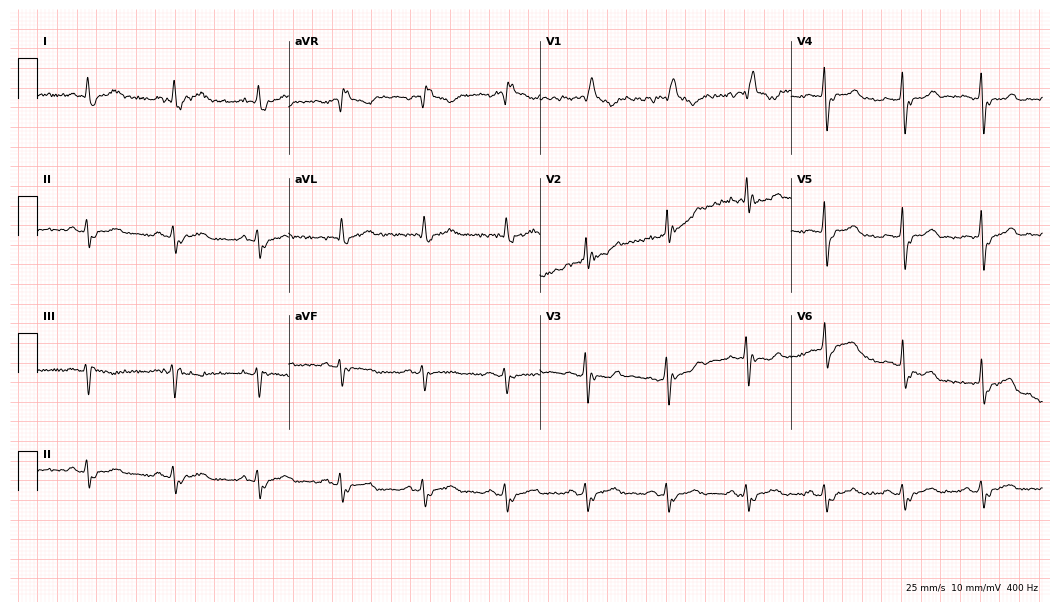
12-lead ECG (10.2-second recording at 400 Hz) from a 71-year-old man. Findings include right bundle branch block.